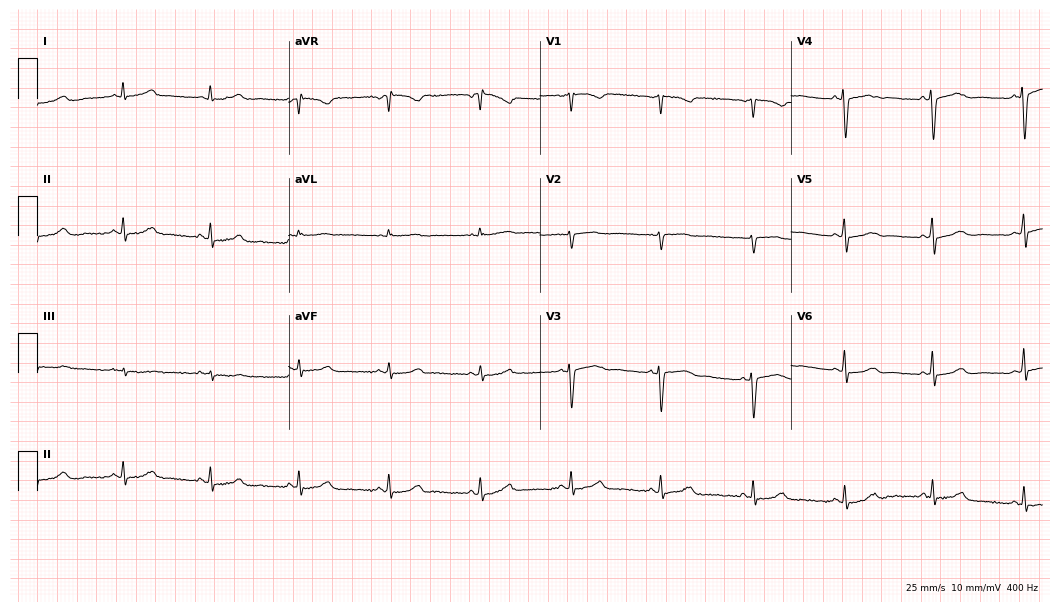
12-lead ECG (10.2-second recording at 400 Hz) from a female, 43 years old. Screened for six findings — first-degree AV block, right bundle branch block (RBBB), left bundle branch block (LBBB), sinus bradycardia, atrial fibrillation (AF), sinus tachycardia — none is recorded. Other findings, if any, are not listed.